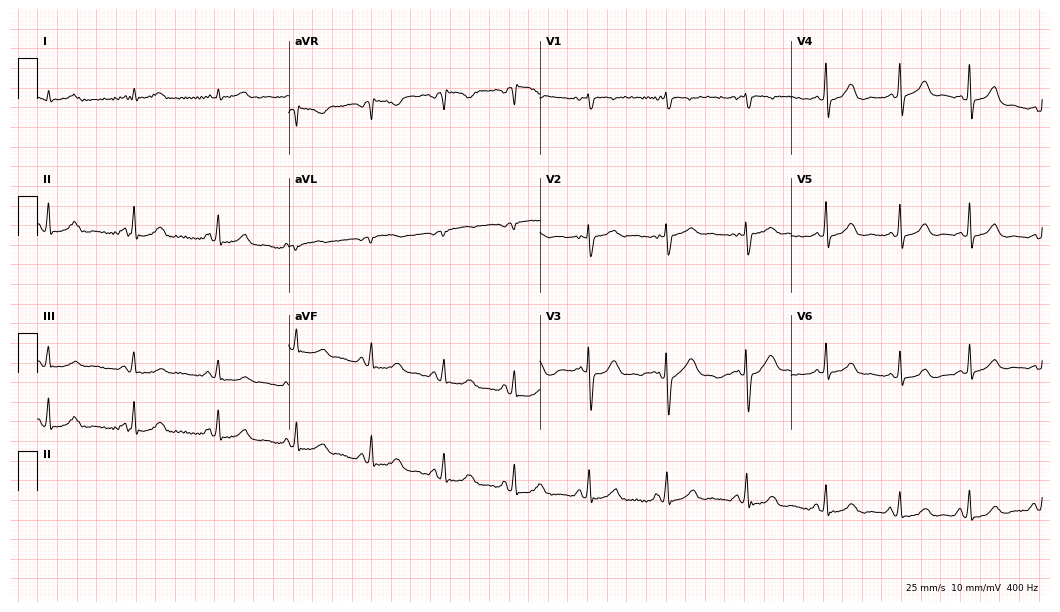
12-lead ECG from a woman, 32 years old (10.2-second recording at 400 Hz). Recorded interpretation: within normal limits.